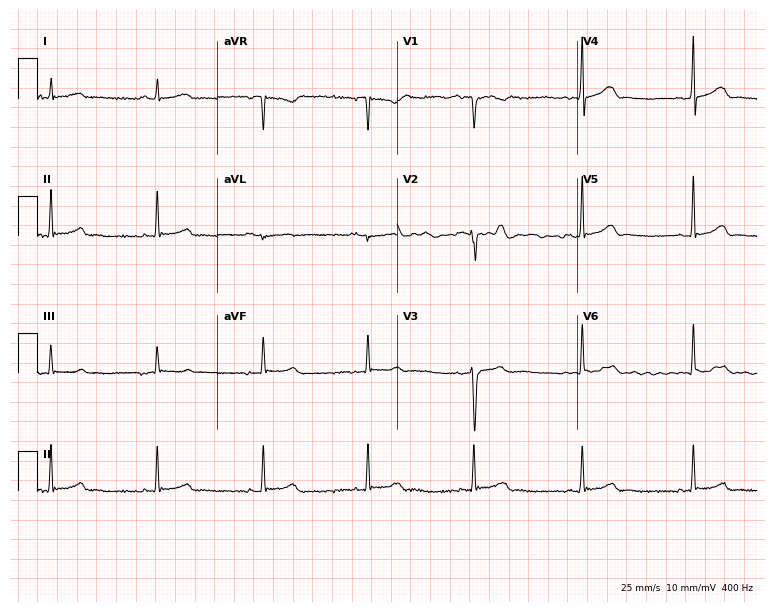
ECG (7.3-second recording at 400 Hz) — a female, 31 years old. Screened for six findings — first-degree AV block, right bundle branch block, left bundle branch block, sinus bradycardia, atrial fibrillation, sinus tachycardia — none is recorded. Findings outside these six are not listed.